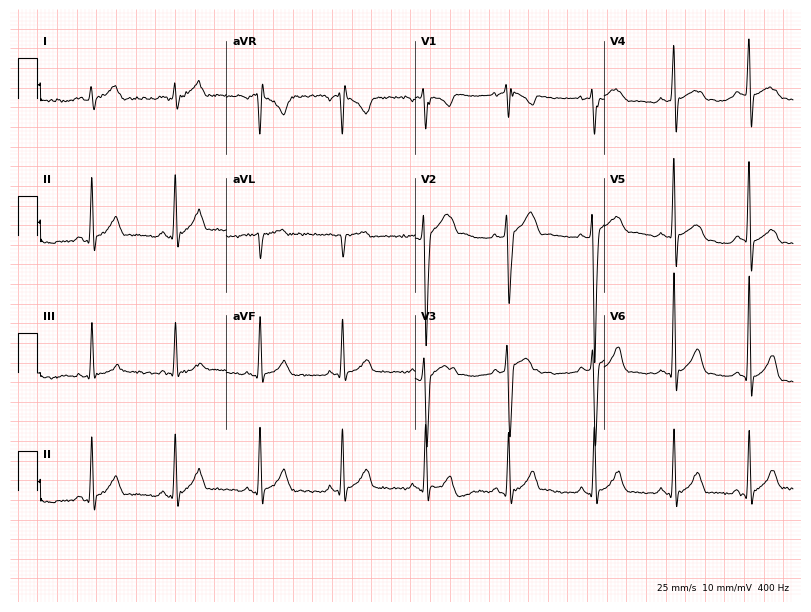
ECG — a 17-year-old man. Labelled as a normal ECG.